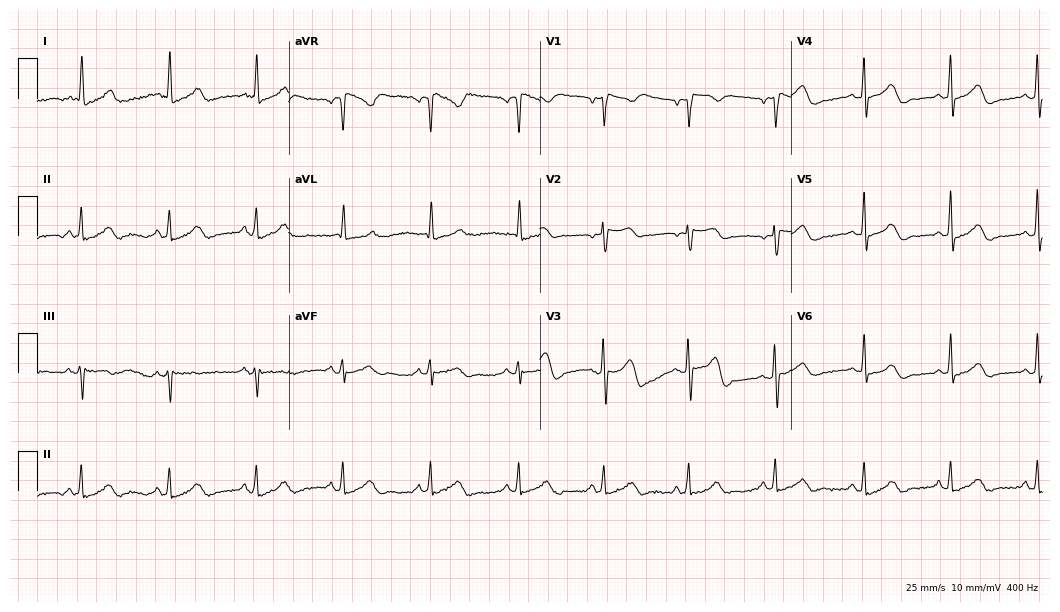
Resting 12-lead electrocardiogram. Patient: a woman, 56 years old. None of these six findings is recorded: first-degree AV block, right bundle branch block, left bundle branch block, sinus bradycardia, atrial fibrillation, sinus tachycardia.